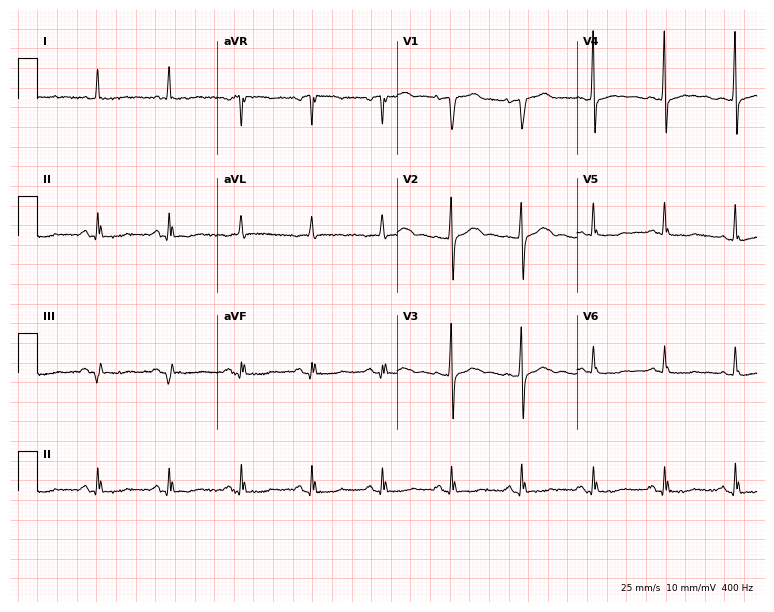
ECG (7.3-second recording at 400 Hz) — a female patient, 84 years old. Screened for six findings — first-degree AV block, right bundle branch block (RBBB), left bundle branch block (LBBB), sinus bradycardia, atrial fibrillation (AF), sinus tachycardia — none is recorded.